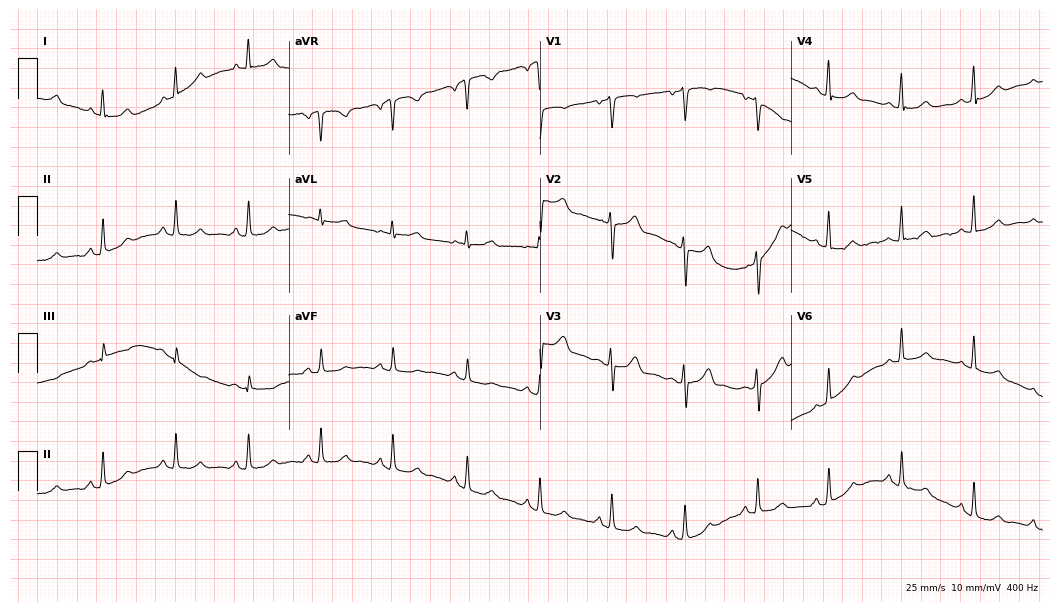
Electrocardiogram, a 55-year-old woman. Overall reading on record: normal ECG.